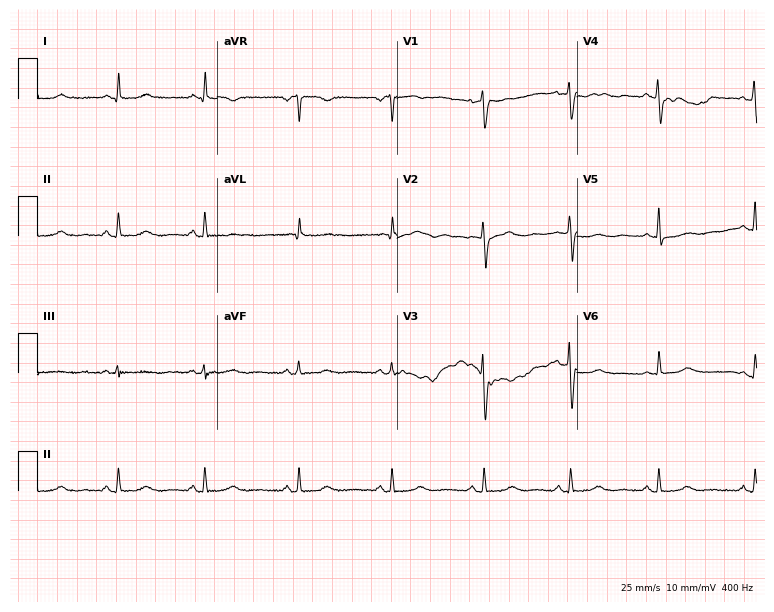
12-lead ECG (7.3-second recording at 400 Hz) from a female patient, 34 years old. Screened for six findings — first-degree AV block, right bundle branch block, left bundle branch block, sinus bradycardia, atrial fibrillation, sinus tachycardia — none is recorded.